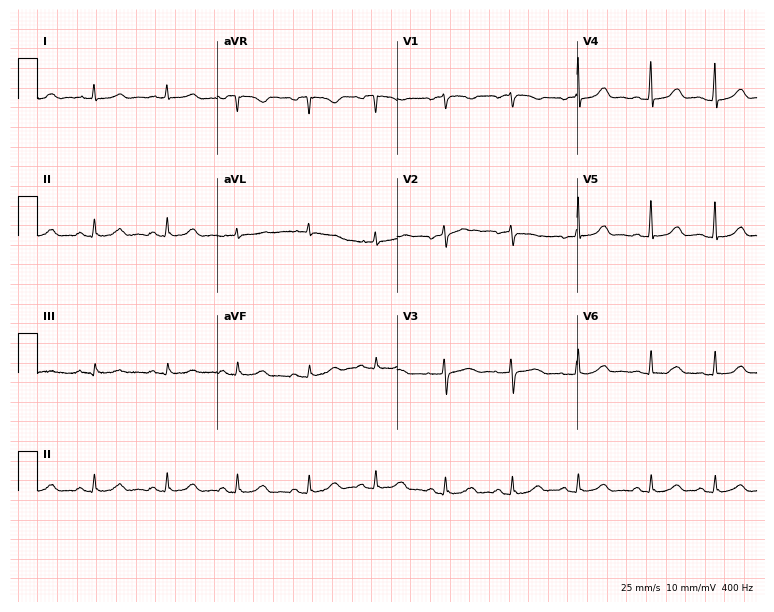
12-lead ECG from a 65-year-old woman (7.3-second recording at 400 Hz). Recorded interpretation: within normal limits.